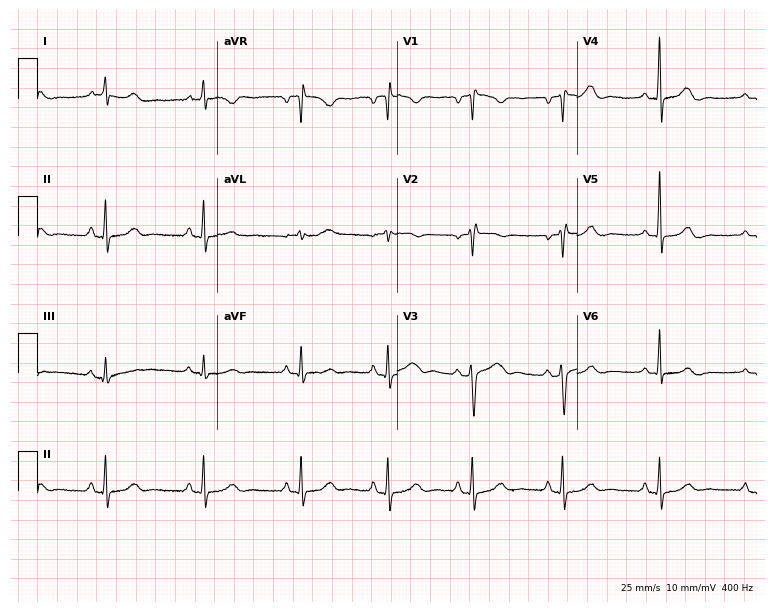
Standard 12-lead ECG recorded from a 44-year-old female patient. Read as a normal ECG.